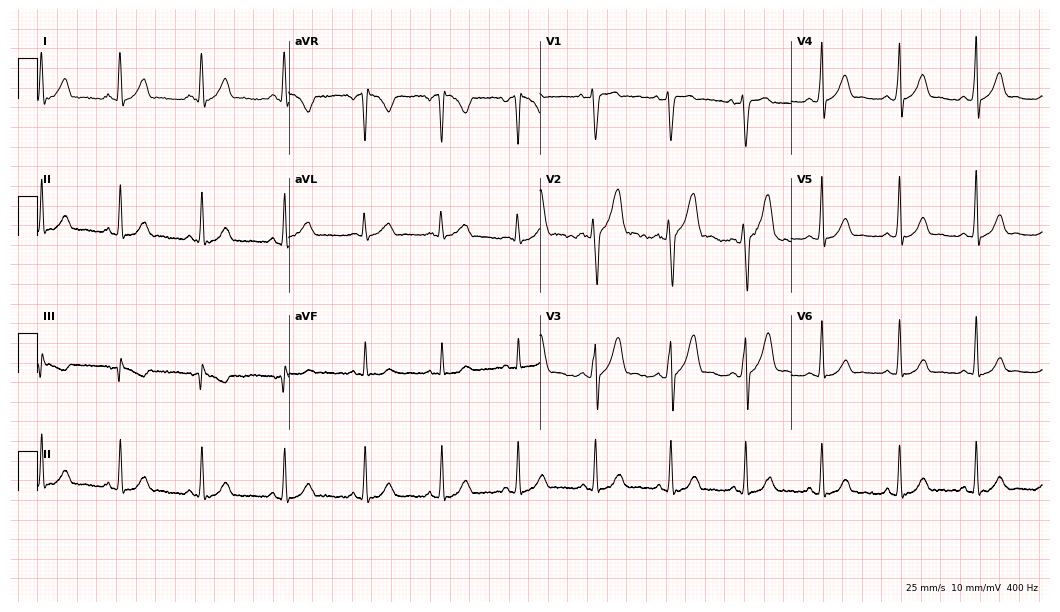
12-lead ECG from a man, 36 years old (10.2-second recording at 400 Hz). Recorded interpretation: within normal limits.